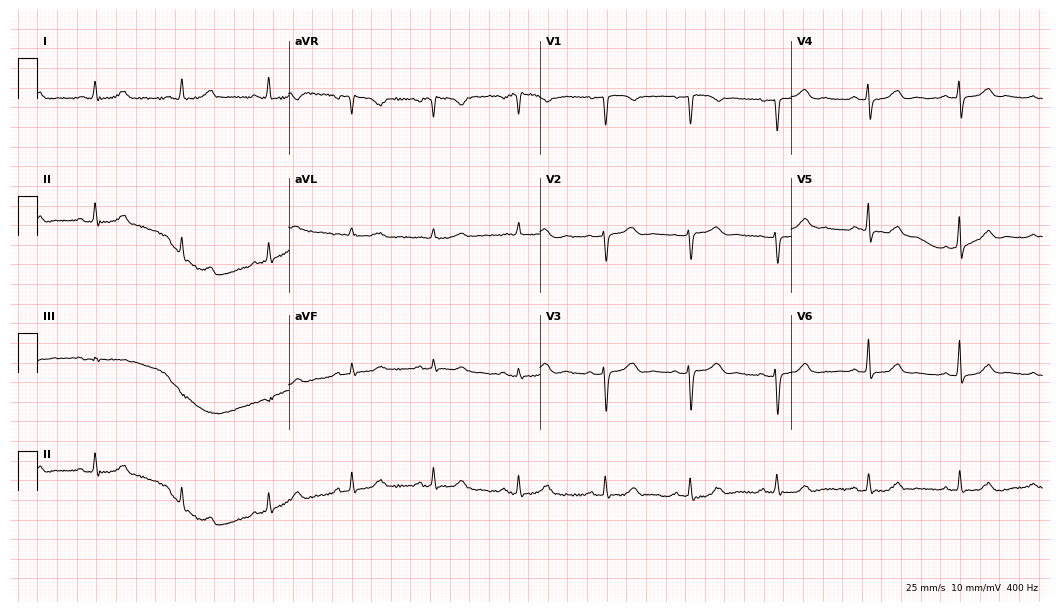
Resting 12-lead electrocardiogram. Patient: a female, 56 years old. None of these six findings is recorded: first-degree AV block, right bundle branch block, left bundle branch block, sinus bradycardia, atrial fibrillation, sinus tachycardia.